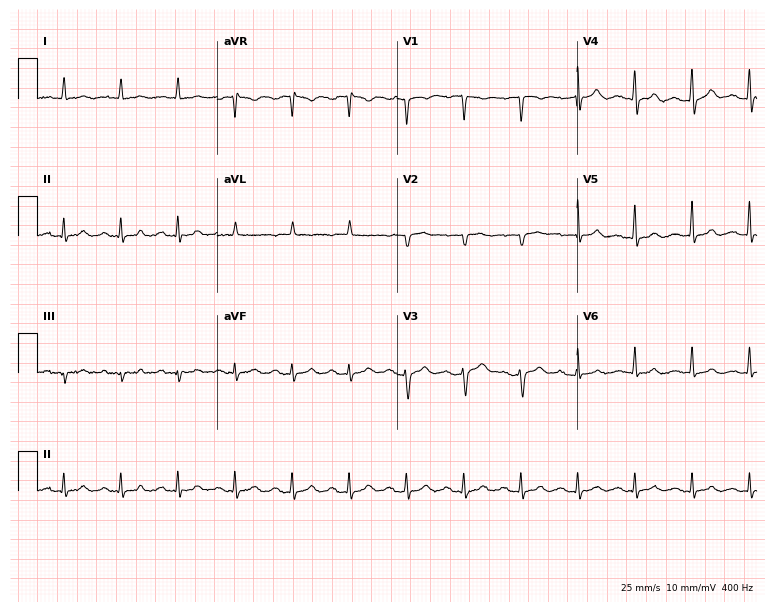
12-lead ECG from a male, 81 years old. Findings include sinus tachycardia (a sinus rate of 100 beats per minute or more).